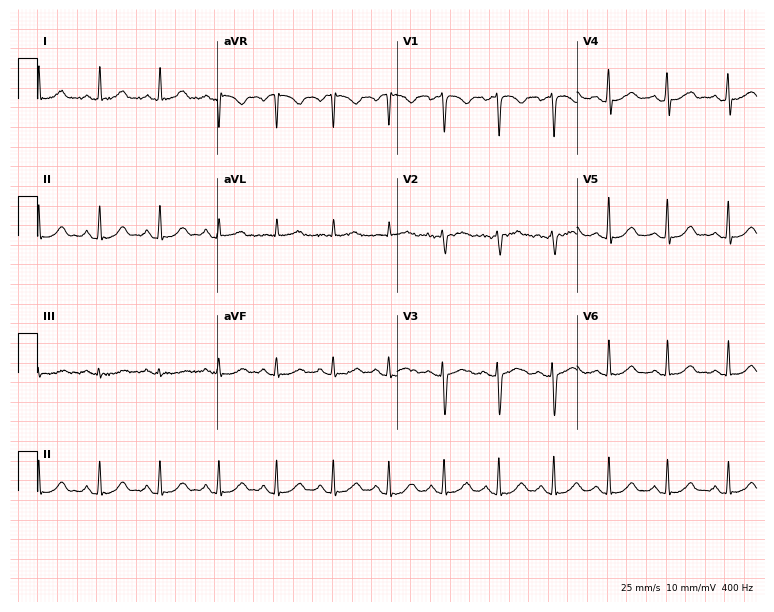
Standard 12-lead ECG recorded from a 37-year-old female patient (7.3-second recording at 400 Hz). The tracing shows sinus tachycardia (a sinus rate of 100 beats per minute or more).